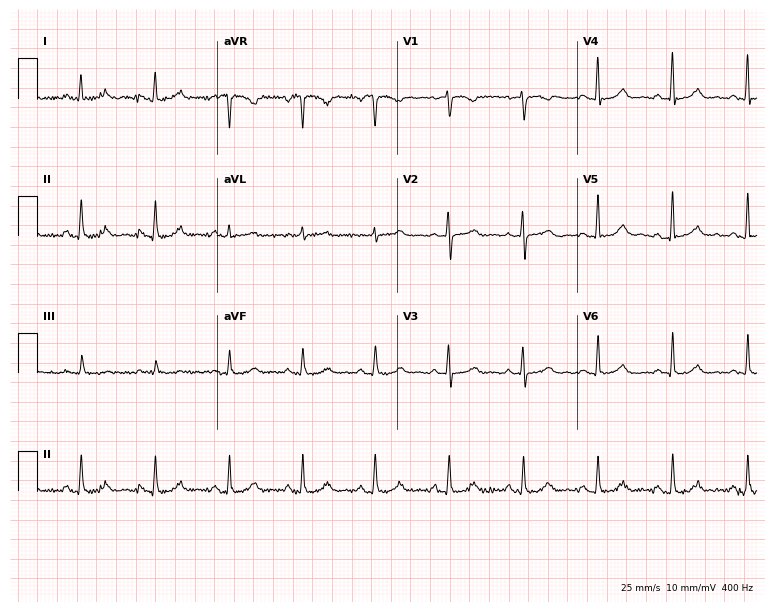
Resting 12-lead electrocardiogram (7.3-second recording at 400 Hz). Patient: a 60-year-old woman. Read as a normal ECG.